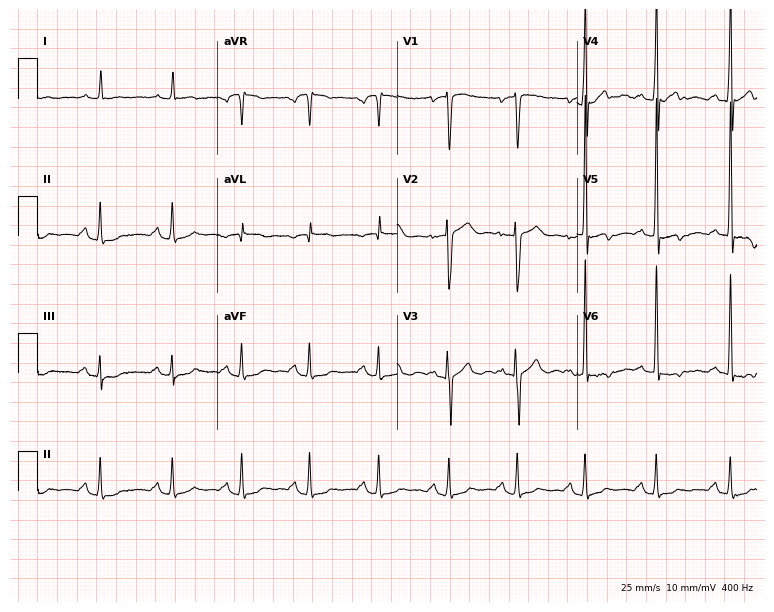
Electrocardiogram, a male patient, 67 years old. Of the six screened findings (first-degree AV block, right bundle branch block (RBBB), left bundle branch block (LBBB), sinus bradycardia, atrial fibrillation (AF), sinus tachycardia), none is recorded.